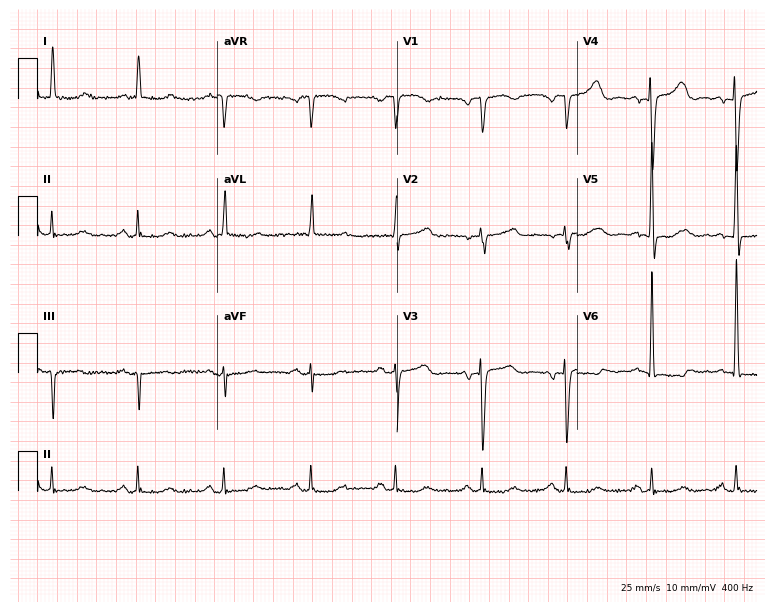
ECG (7.3-second recording at 400 Hz) — a male, 76 years old. Labelled as a normal ECG.